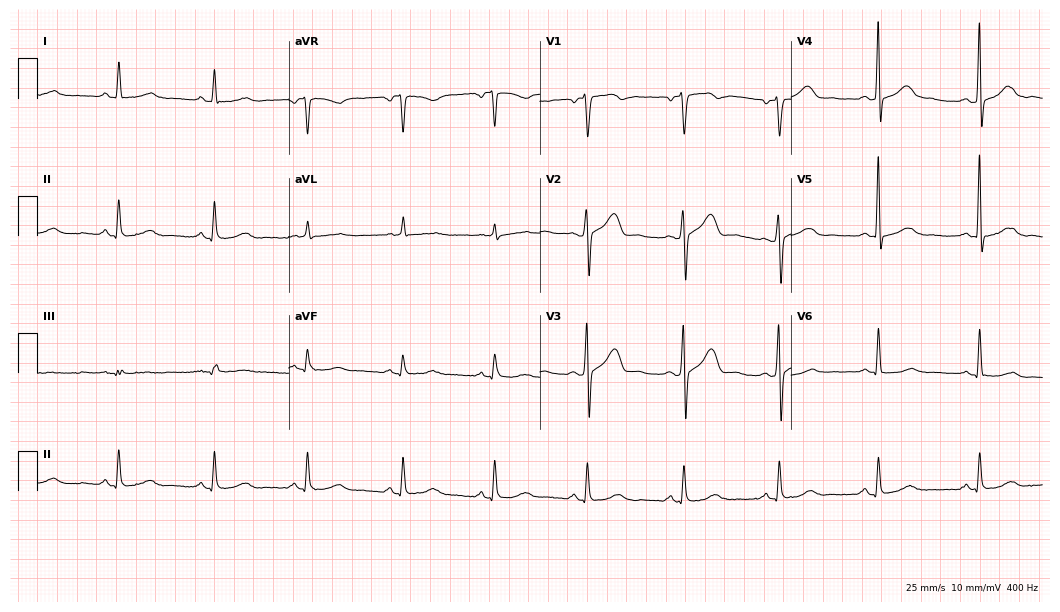
Standard 12-lead ECG recorded from a 52-year-old man (10.2-second recording at 400 Hz). Read as a normal ECG.